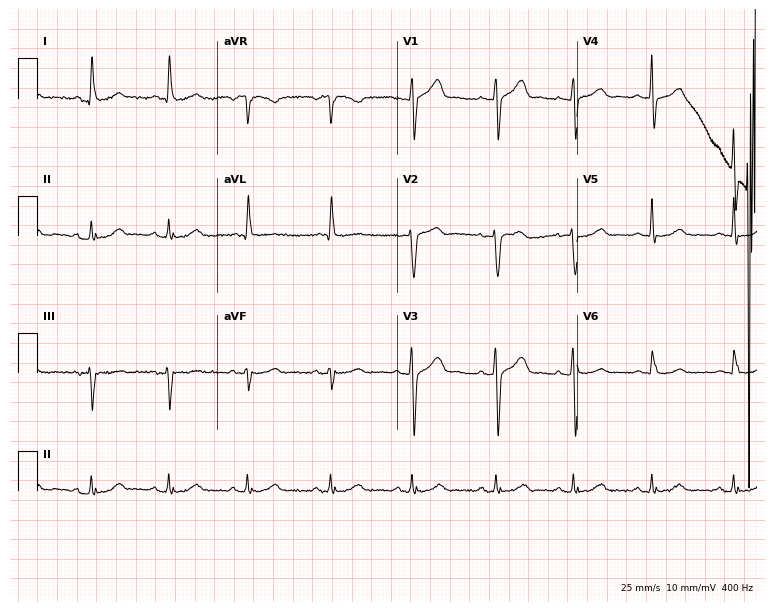
12-lead ECG from a man, 73 years old. No first-degree AV block, right bundle branch block (RBBB), left bundle branch block (LBBB), sinus bradycardia, atrial fibrillation (AF) or sinus tachycardia recorded for this tracing. Other findings, if any, are not listed.